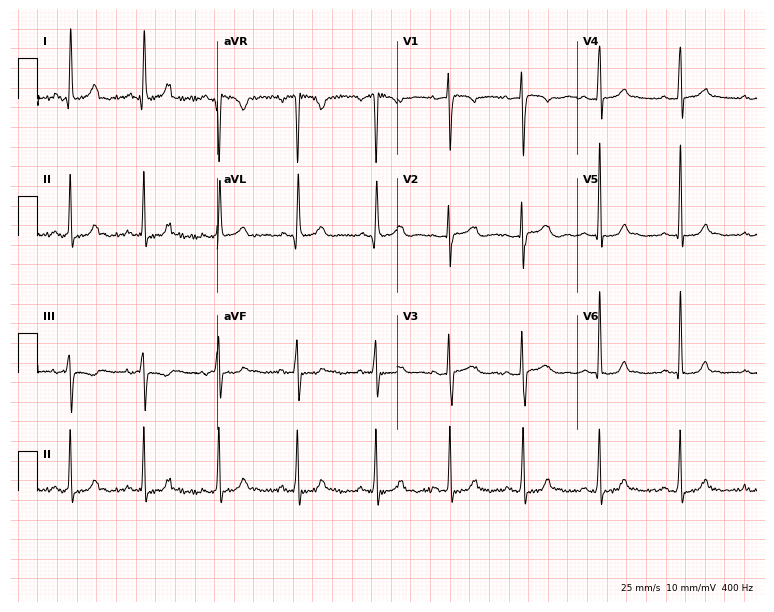
Standard 12-lead ECG recorded from a woman, 30 years old (7.3-second recording at 400 Hz). None of these six findings is recorded: first-degree AV block, right bundle branch block (RBBB), left bundle branch block (LBBB), sinus bradycardia, atrial fibrillation (AF), sinus tachycardia. Only these six findings were labelled.